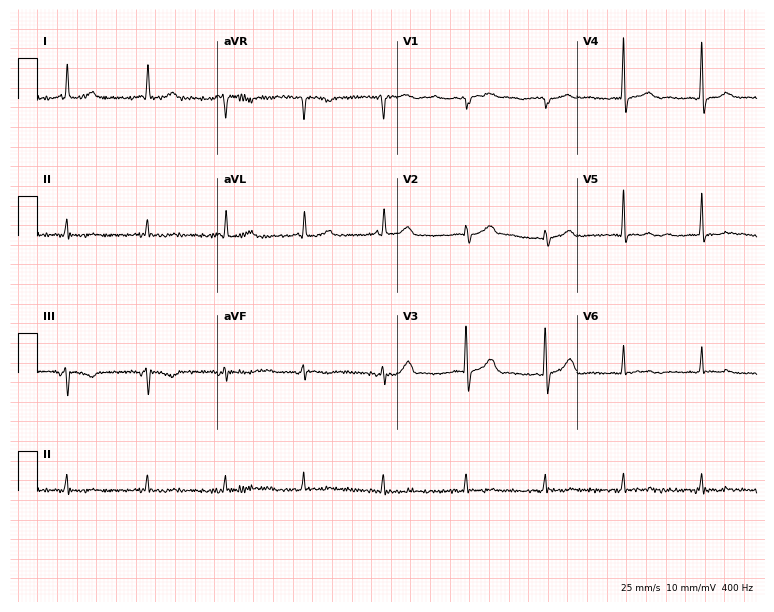
Standard 12-lead ECG recorded from a woman, 67 years old. None of these six findings is recorded: first-degree AV block, right bundle branch block, left bundle branch block, sinus bradycardia, atrial fibrillation, sinus tachycardia. Findings outside these six are not listed.